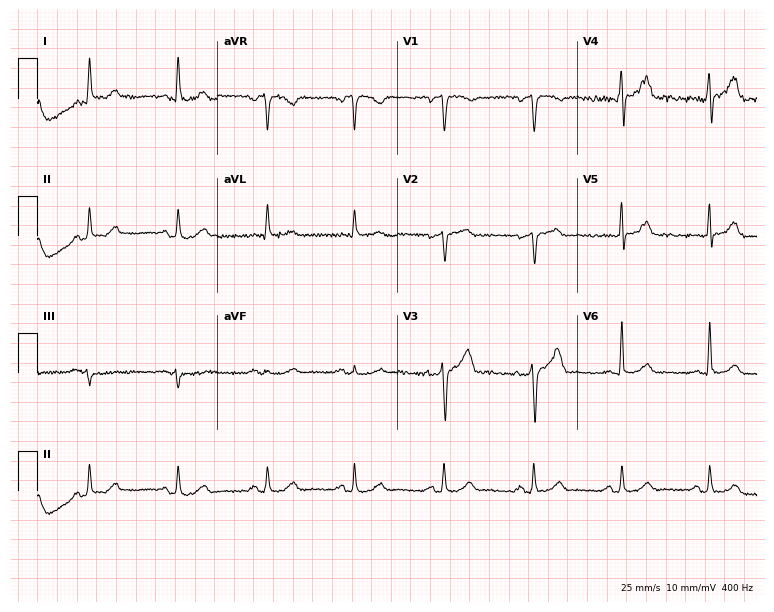
ECG — a male patient, 51 years old. Labelled as a normal ECG.